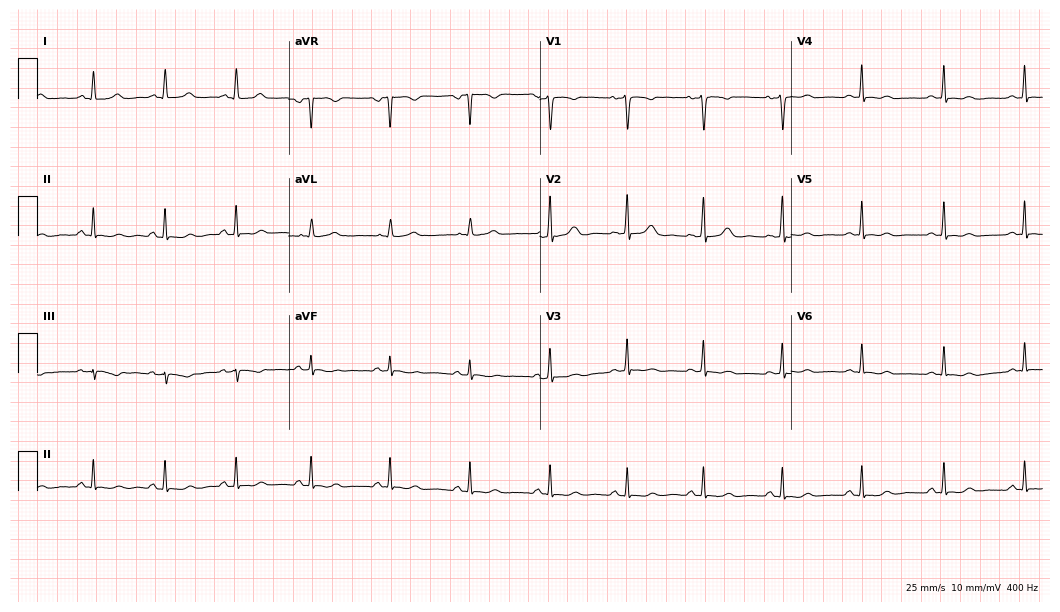
Resting 12-lead electrocardiogram. Patient: a female, 34 years old. None of these six findings is recorded: first-degree AV block, right bundle branch block, left bundle branch block, sinus bradycardia, atrial fibrillation, sinus tachycardia. Other findings, if any, are not listed.